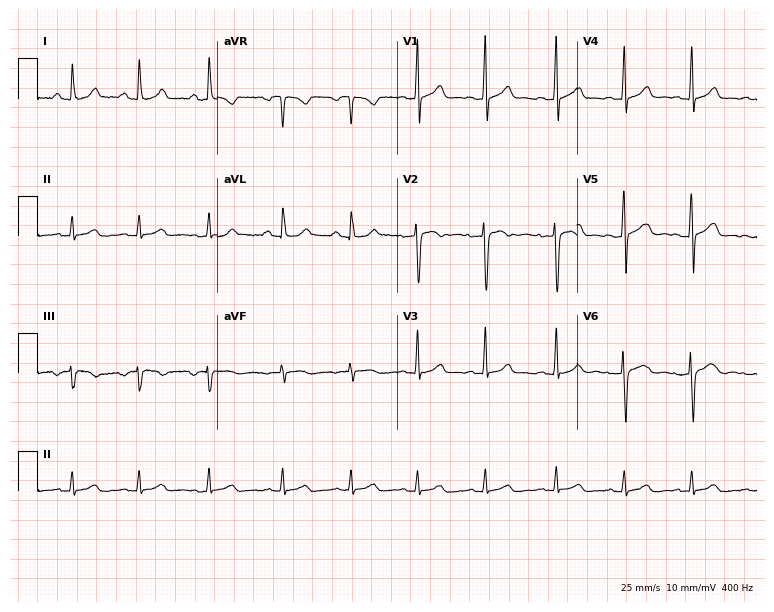
Standard 12-lead ECG recorded from a female, 32 years old. None of these six findings is recorded: first-degree AV block, right bundle branch block, left bundle branch block, sinus bradycardia, atrial fibrillation, sinus tachycardia. Findings outside these six are not listed.